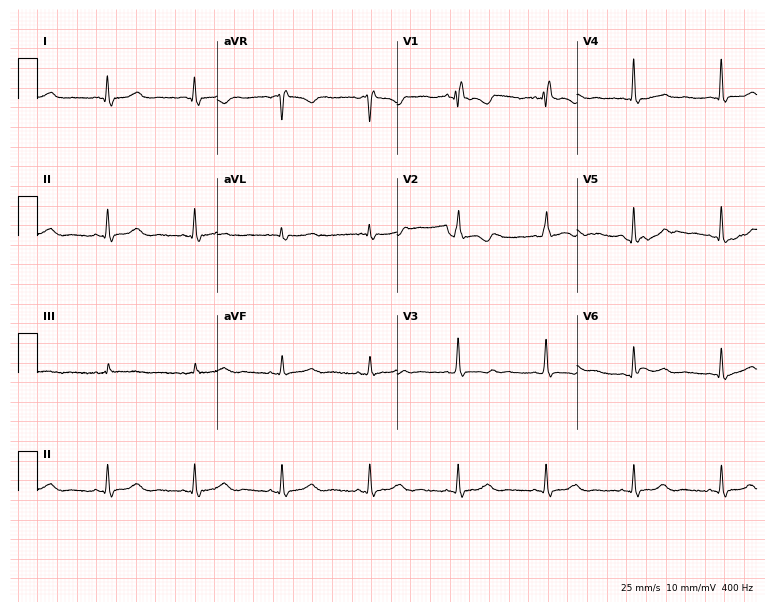
12-lead ECG (7.3-second recording at 400 Hz) from a female patient, 65 years old. Screened for six findings — first-degree AV block, right bundle branch block, left bundle branch block, sinus bradycardia, atrial fibrillation, sinus tachycardia — none is recorded.